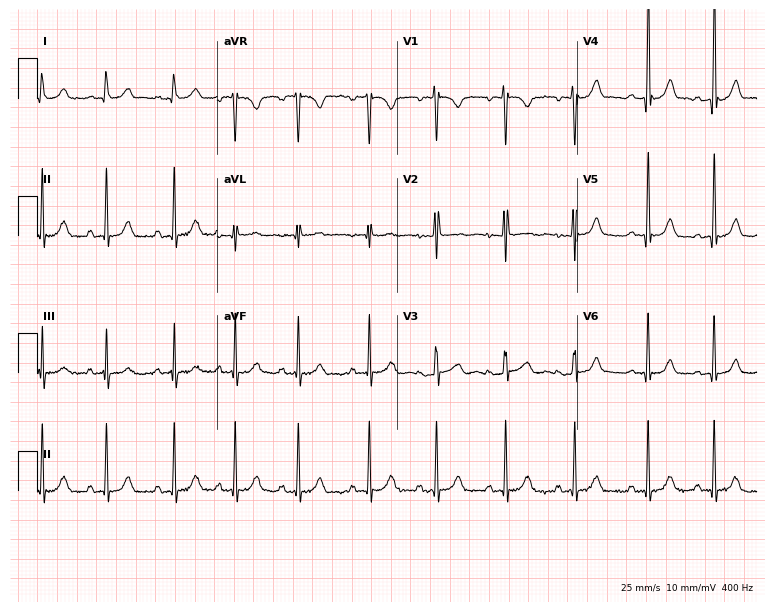
Standard 12-lead ECG recorded from a female patient, 24 years old. None of these six findings is recorded: first-degree AV block, right bundle branch block, left bundle branch block, sinus bradycardia, atrial fibrillation, sinus tachycardia.